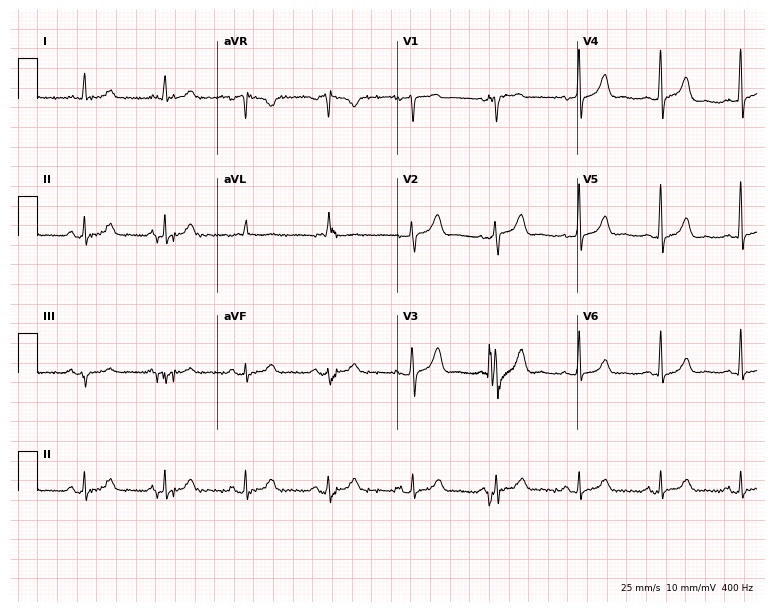
Resting 12-lead electrocardiogram (7.3-second recording at 400 Hz). Patient: an 83-year-old female. Read as a normal ECG.